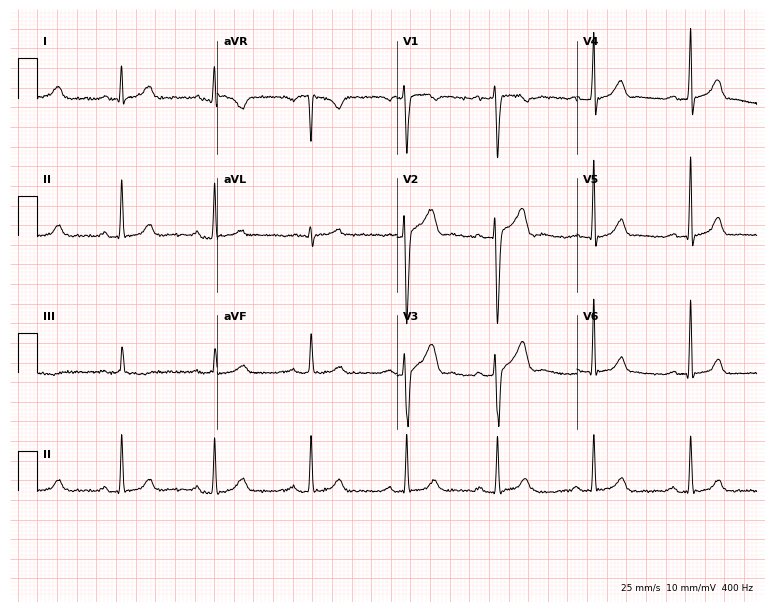
ECG — a man, 33 years old. Labelled as a normal ECG.